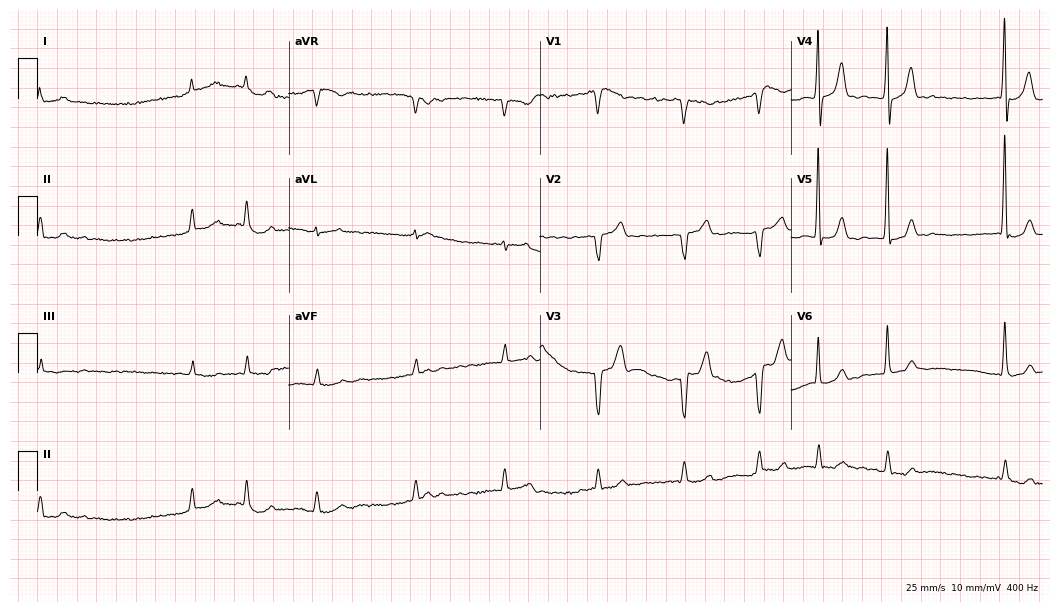
12-lead ECG from a male, 71 years old (10.2-second recording at 400 Hz). Shows atrial fibrillation.